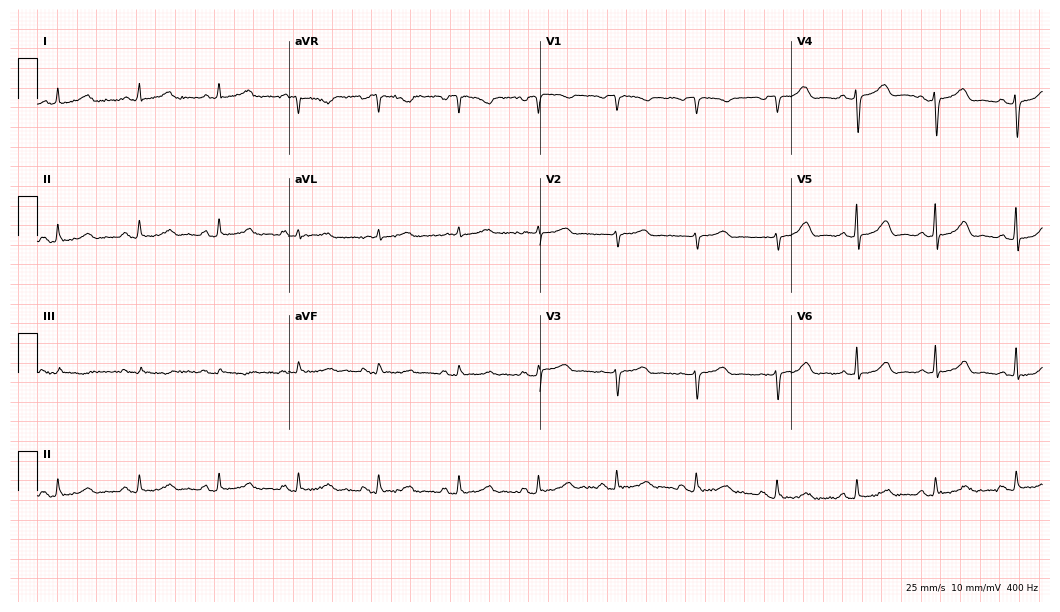
Resting 12-lead electrocardiogram. Patient: a female, 67 years old. None of these six findings is recorded: first-degree AV block, right bundle branch block, left bundle branch block, sinus bradycardia, atrial fibrillation, sinus tachycardia. Other findings, if any, are not listed.